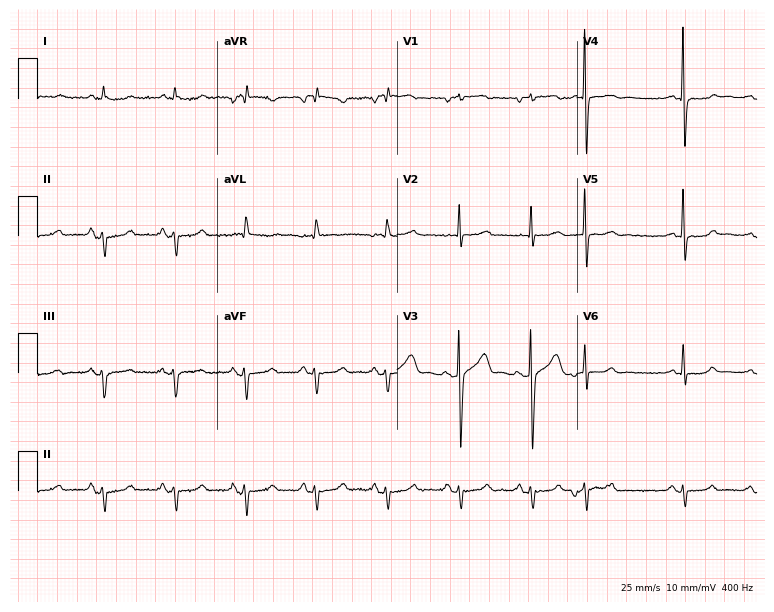
12-lead ECG (7.3-second recording at 400 Hz) from a 62-year-old male. Screened for six findings — first-degree AV block, right bundle branch block (RBBB), left bundle branch block (LBBB), sinus bradycardia, atrial fibrillation (AF), sinus tachycardia — none is recorded. Other findings, if any, are not listed.